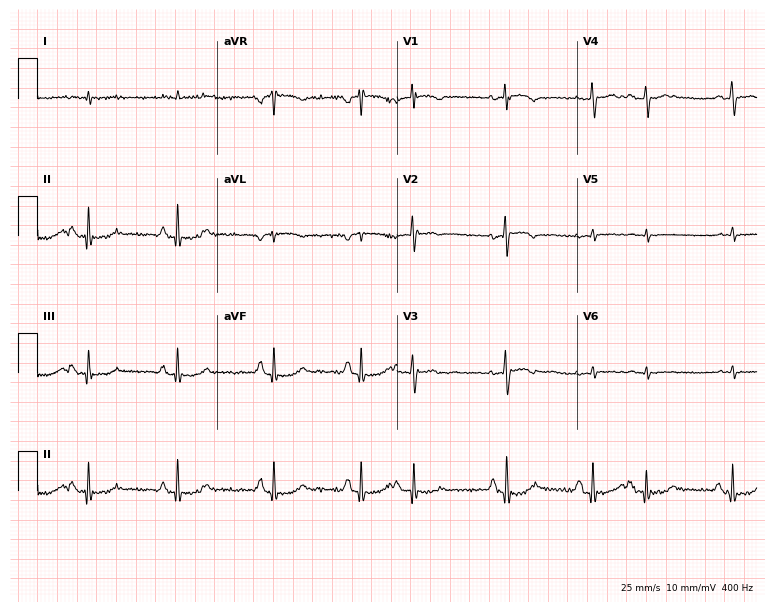
Resting 12-lead electrocardiogram (7.3-second recording at 400 Hz). Patient: an 83-year-old male. None of these six findings is recorded: first-degree AV block, right bundle branch block (RBBB), left bundle branch block (LBBB), sinus bradycardia, atrial fibrillation (AF), sinus tachycardia.